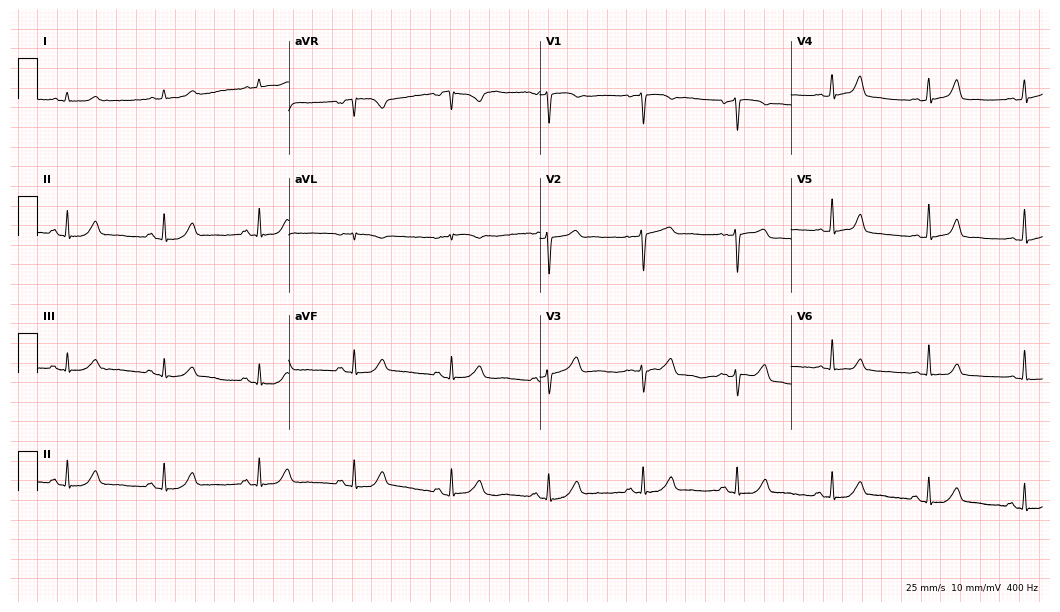
Standard 12-lead ECG recorded from a 26-year-old woman (10.2-second recording at 400 Hz). Read as a normal ECG.